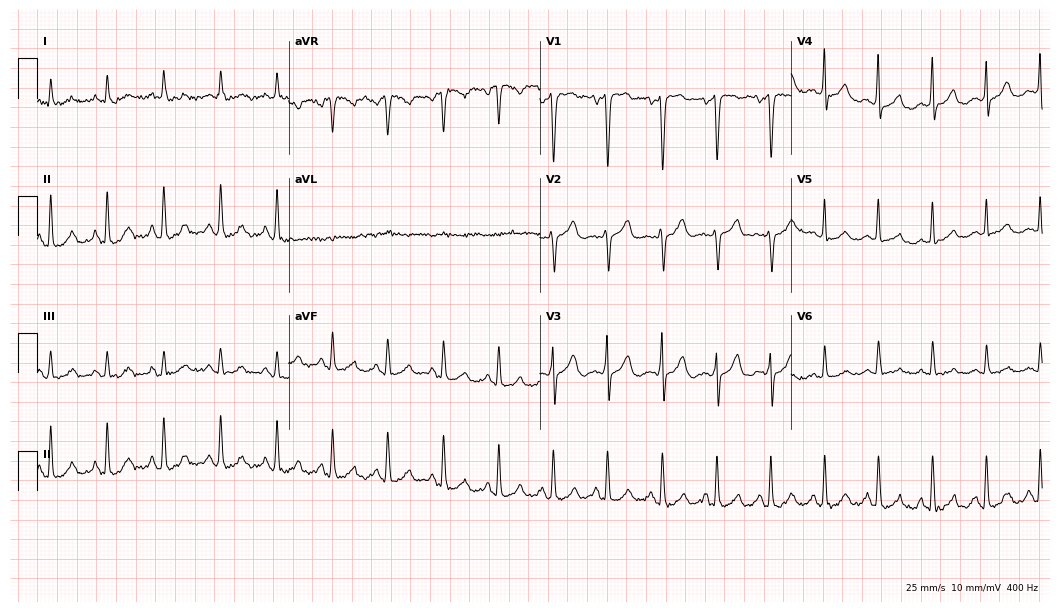
12-lead ECG from a 68-year-old male patient. Findings include sinus tachycardia (a sinus rate of 100 beats per minute or more).